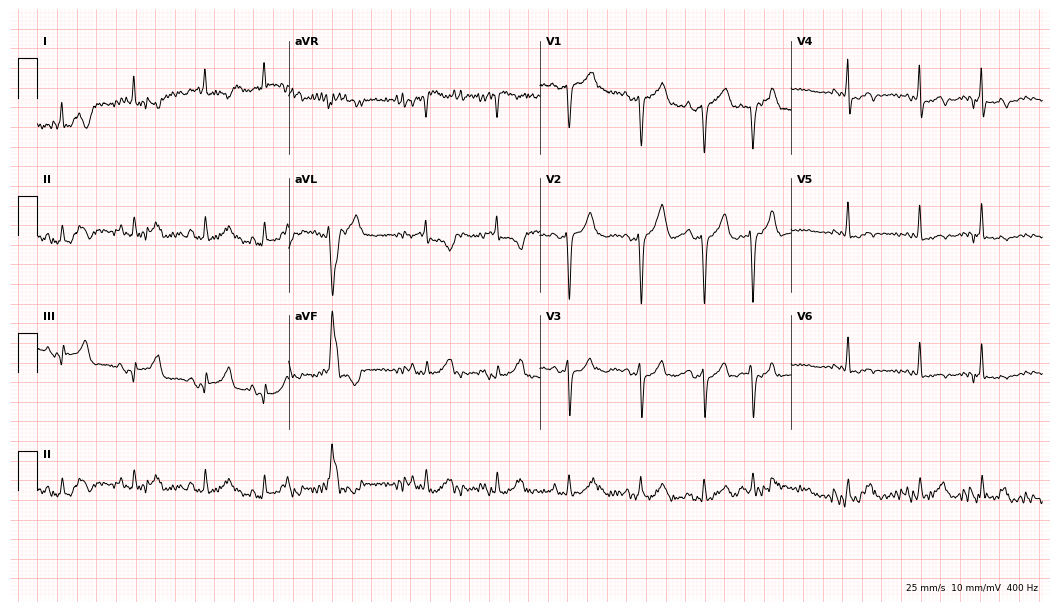
ECG (10.2-second recording at 400 Hz) — a female patient, 85 years old. Screened for six findings — first-degree AV block, right bundle branch block (RBBB), left bundle branch block (LBBB), sinus bradycardia, atrial fibrillation (AF), sinus tachycardia — none is recorded.